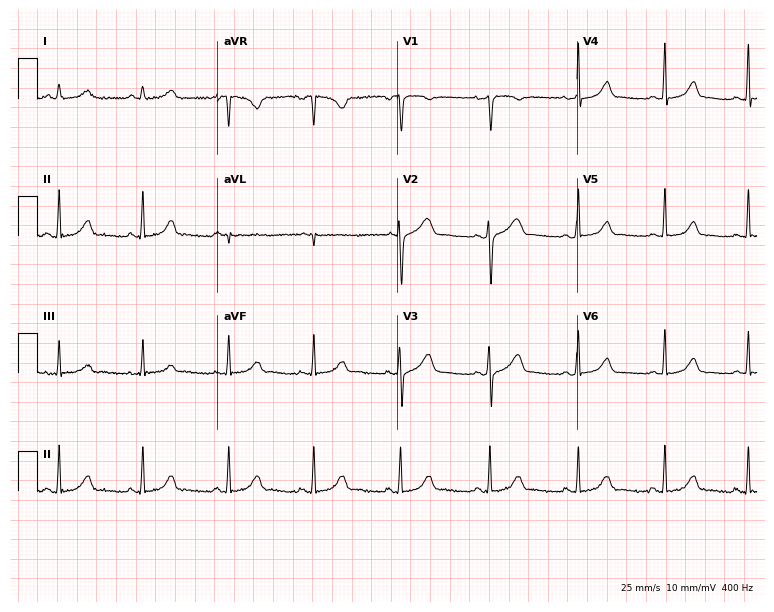
Standard 12-lead ECG recorded from a 37-year-old female patient. None of these six findings is recorded: first-degree AV block, right bundle branch block (RBBB), left bundle branch block (LBBB), sinus bradycardia, atrial fibrillation (AF), sinus tachycardia. Only these six findings were labelled.